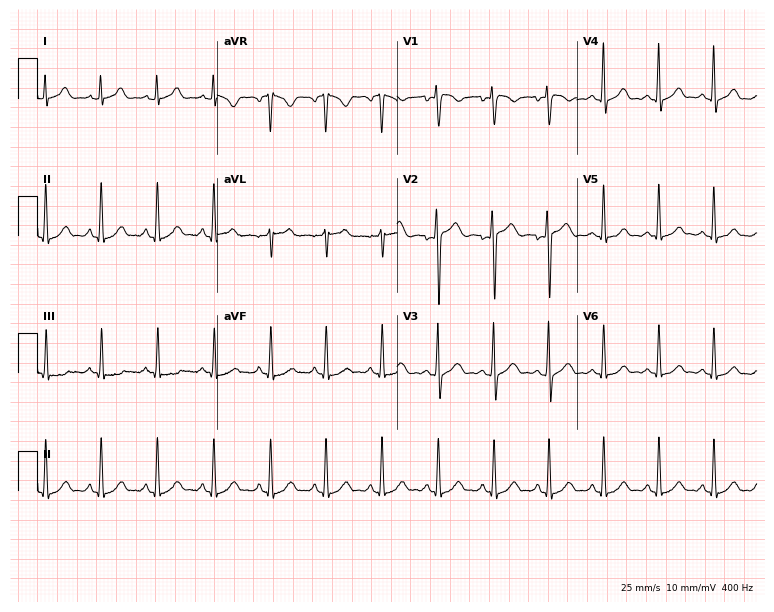
ECG (7.3-second recording at 400 Hz) — a female, 31 years old. Labelled as a normal ECG.